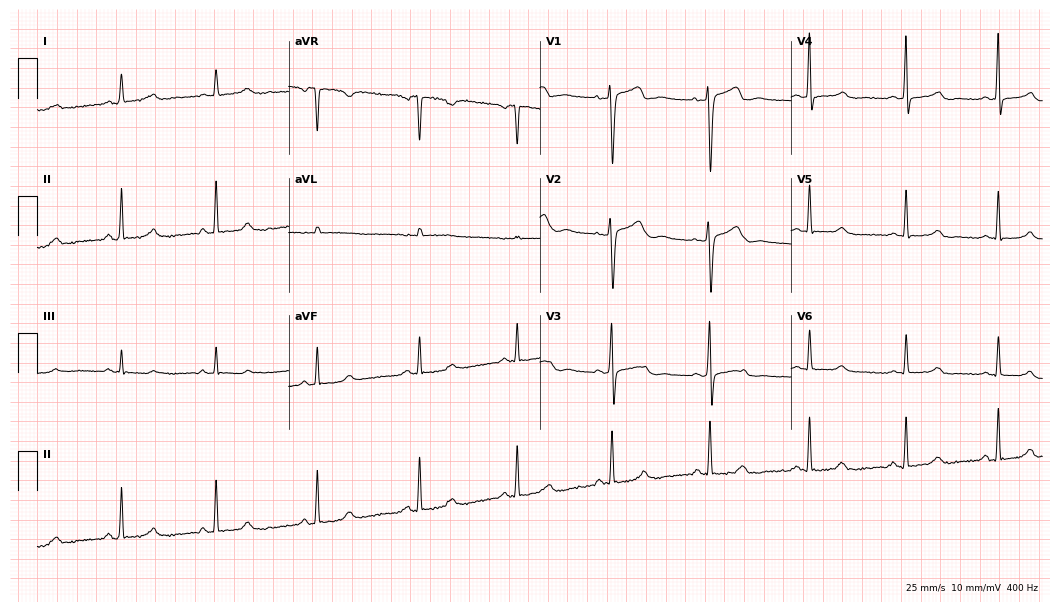
Electrocardiogram, a 45-year-old female patient. Of the six screened findings (first-degree AV block, right bundle branch block, left bundle branch block, sinus bradycardia, atrial fibrillation, sinus tachycardia), none is recorded. Only these six findings were labelled.